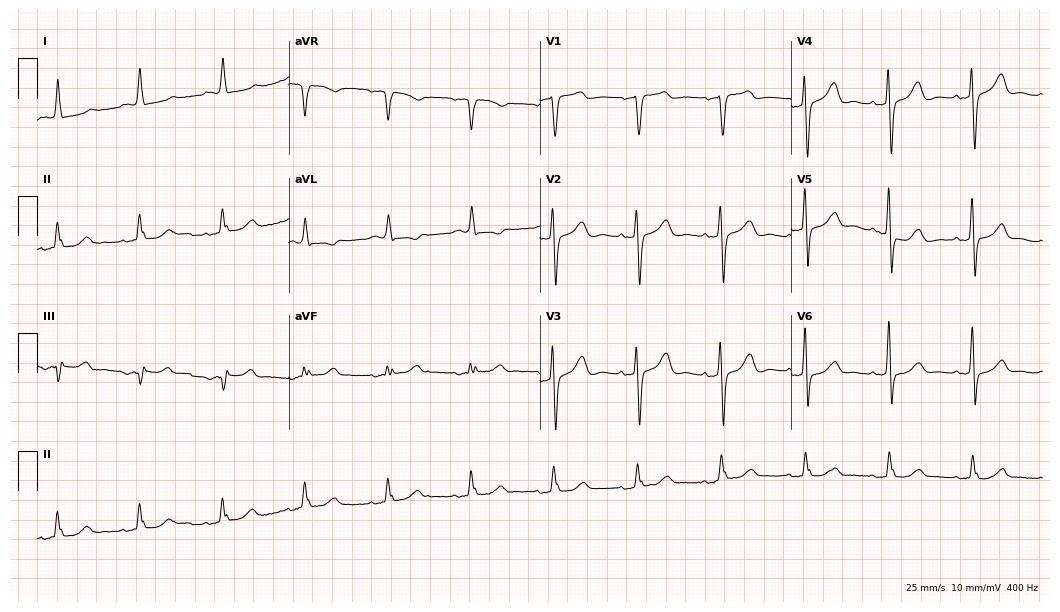
Electrocardiogram (10.2-second recording at 400 Hz), an 84-year-old female. Of the six screened findings (first-degree AV block, right bundle branch block, left bundle branch block, sinus bradycardia, atrial fibrillation, sinus tachycardia), none is recorded. Only these six findings were labelled.